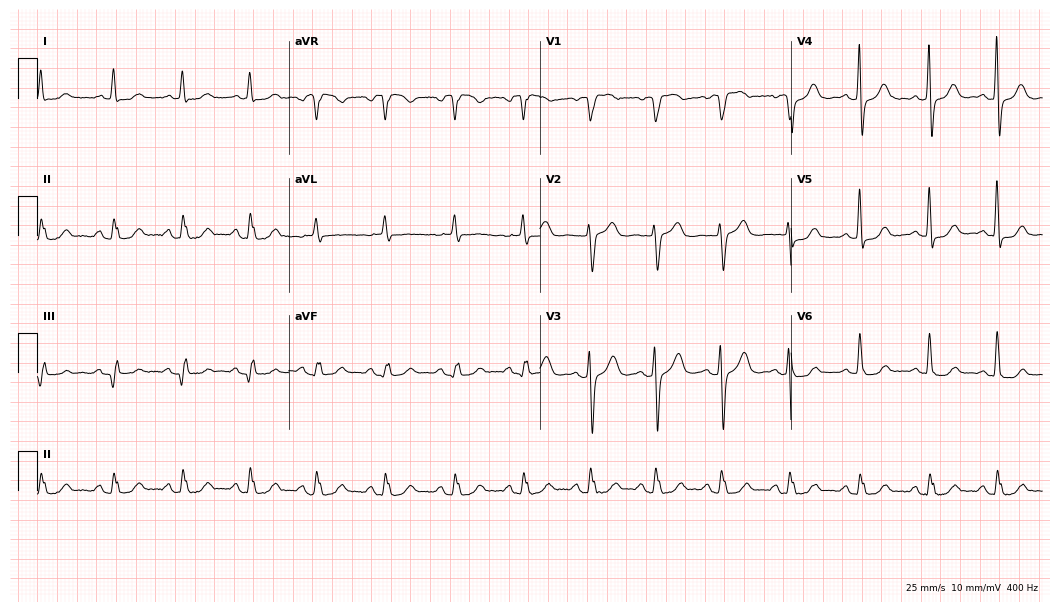
Electrocardiogram, a 55-year-old man. Of the six screened findings (first-degree AV block, right bundle branch block, left bundle branch block, sinus bradycardia, atrial fibrillation, sinus tachycardia), none is recorded. Findings outside these six are not listed.